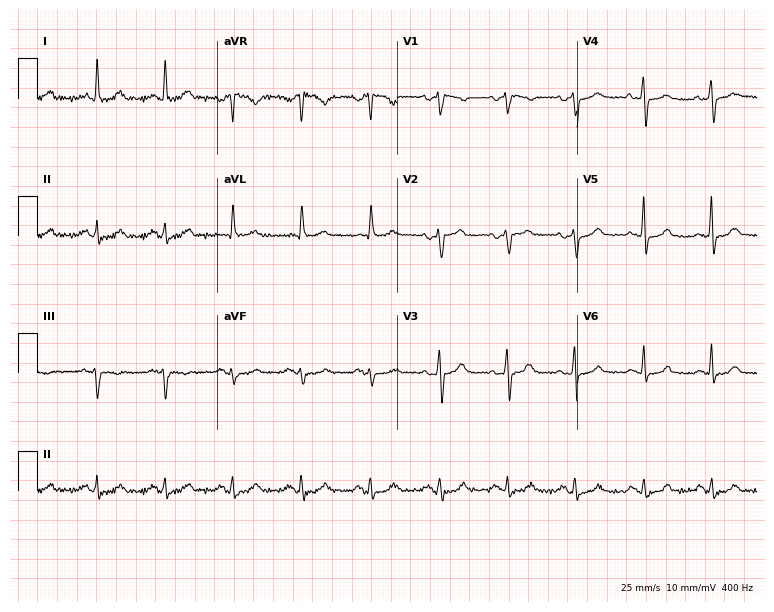
Standard 12-lead ECG recorded from a 55-year-old female. Read as a normal ECG.